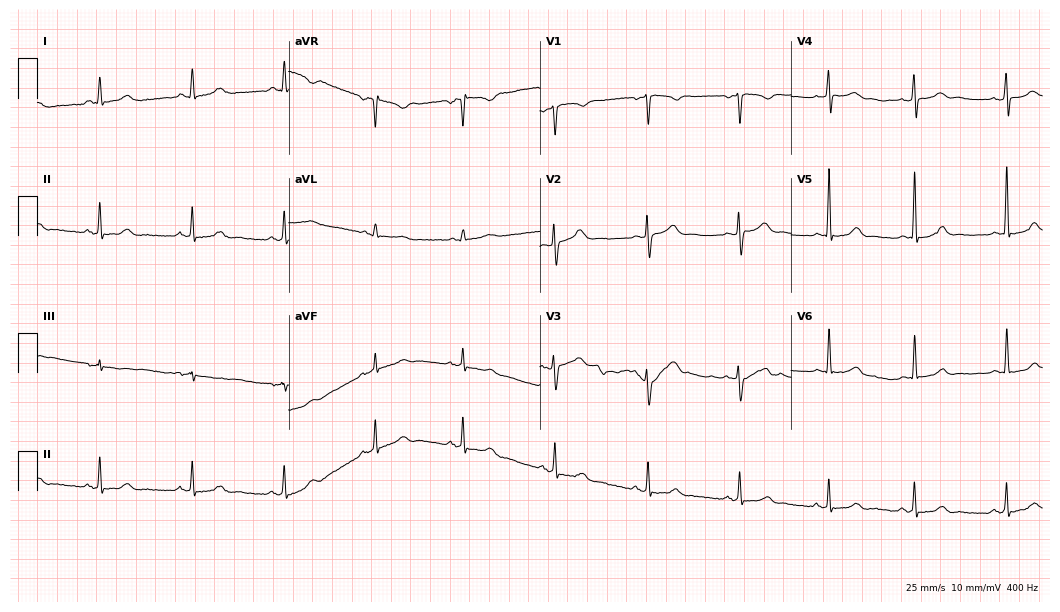
12-lead ECG from a female, 37 years old. Labelled as a normal ECG.